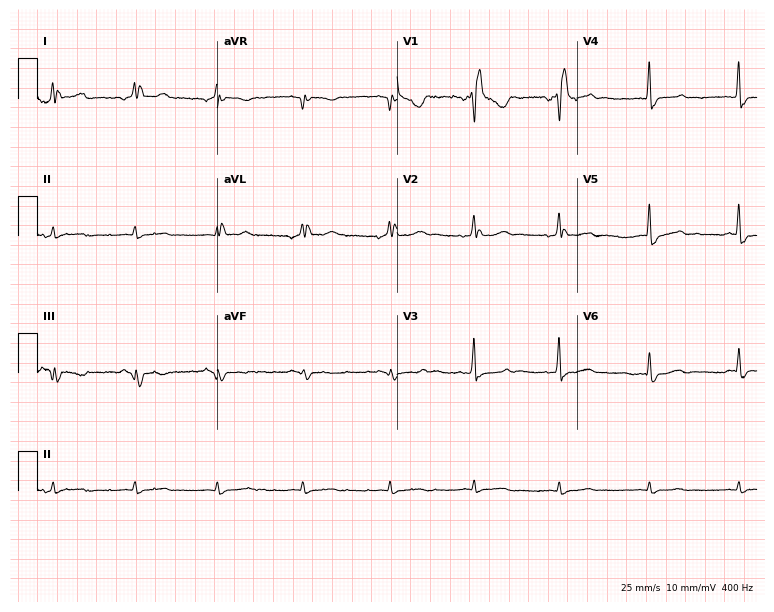
12-lead ECG (7.3-second recording at 400 Hz) from a 48-year-old woman. Findings include right bundle branch block (RBBB).